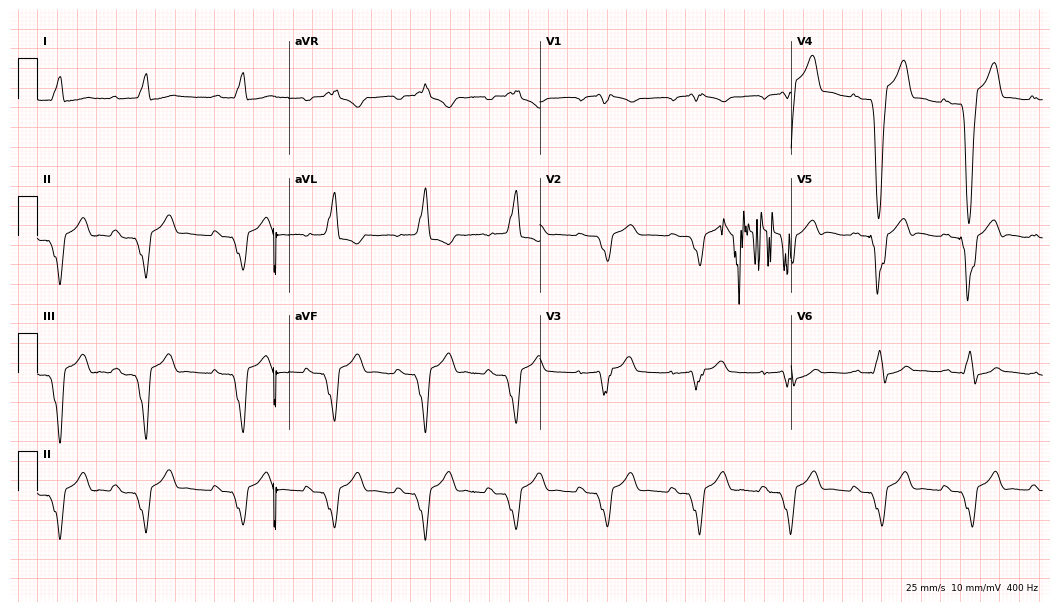
ECG — a male patient, 63 years old. Screened for six findings — first-degree AV block, right bundle branch block (RBBB), left bundle branch block (LBBB), sinus bradycardia, atrial fibrillation (AF), sinus tachycardia — none is recorded.